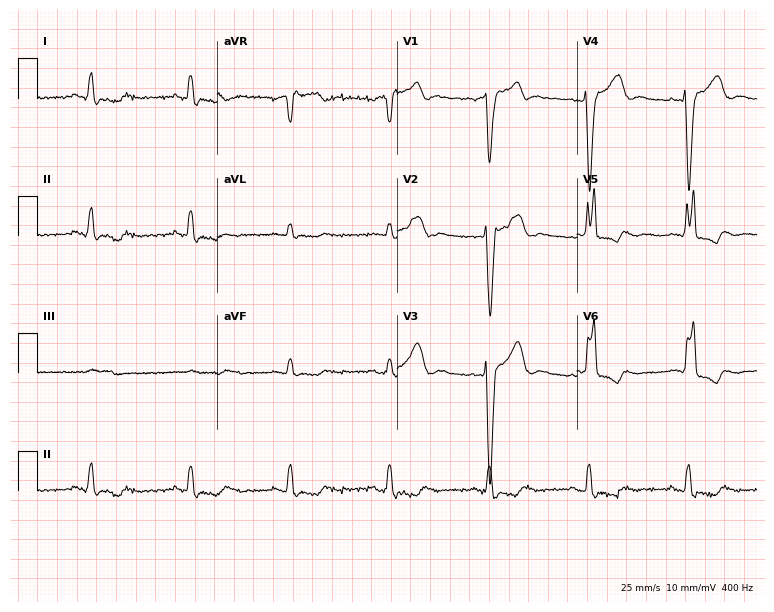
12-lead ECG from a female, 84 years old (7.3-second recording at 400 Hz). No first-degree AV block, right bundle branch block, left bundle branch block, sinus bradycardia, atrial fibrillation or sinus tachycardia recorded for this tracing.